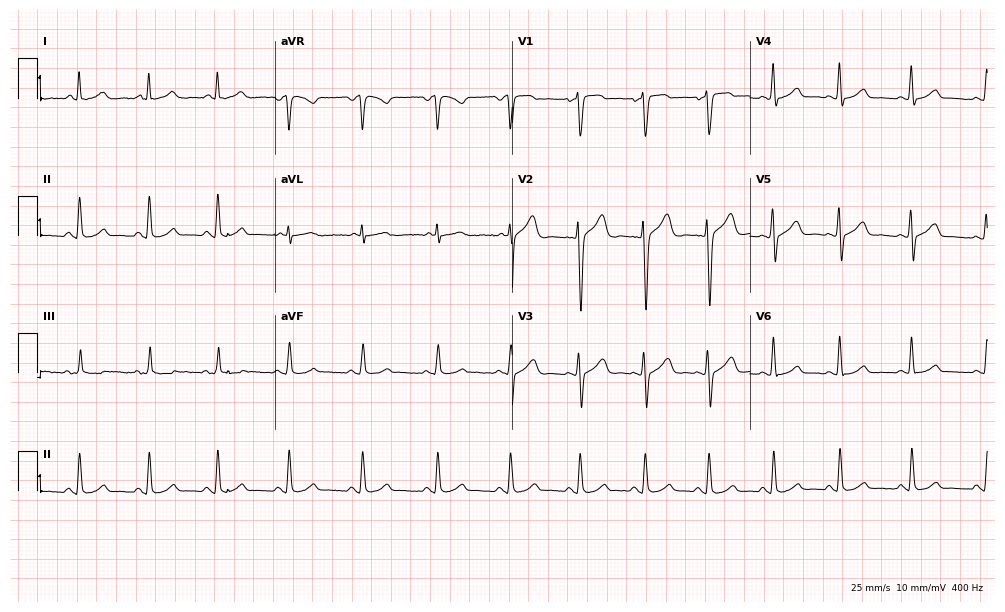
12-lead ECG from a 38-year-old male. Labelled as a normal ECG.